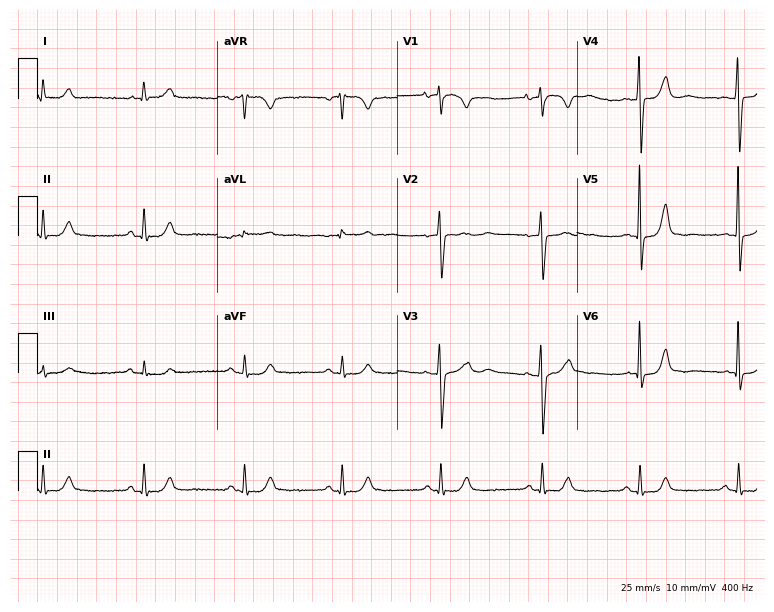
Resting 12-lead electrocardiogram. Patient: a male, 62 years old. None of these six findings is recorded: first-degree AV block, right bundle branch block, left bundle branch block, sinus bradycardia, atrial fibrillation, sinus tachycardia. Only these six findings were labelled.